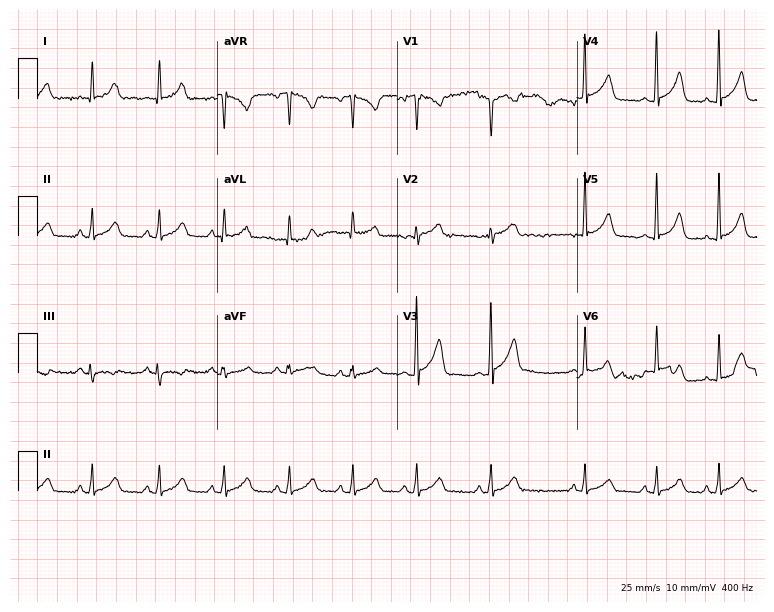
Electrocardiogram (7.3-second recording at 400 Hz), a 27-year-old female. Of the six screened findings (first-degree AV block, right bundle branch block (RBBB), left bundle branch block (LBBB), sinus bradycardia, atrial fibrillation (AF), sinus tachycardia), none is recorded. Only these six findings were labelled.